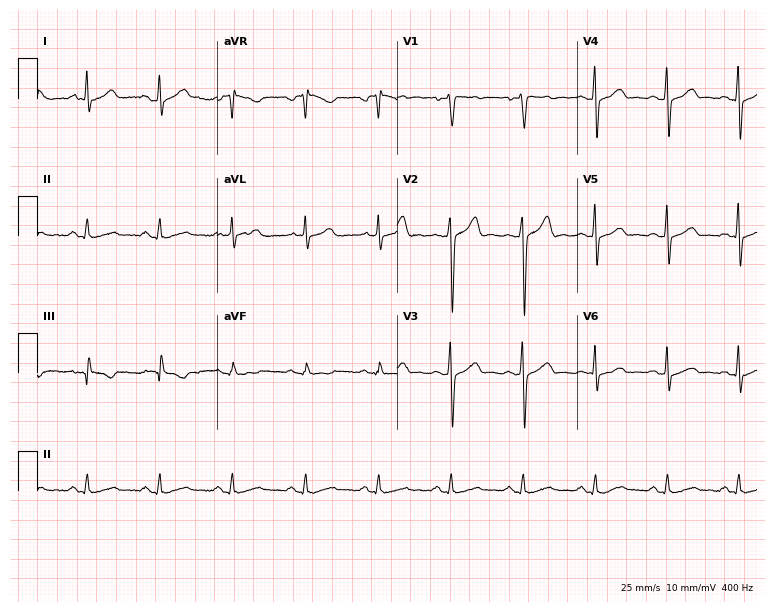
Electrocardiogram (7.3-second recording at 400 Hz), a male, 42 years old. Overall reading on record: normal ECG.